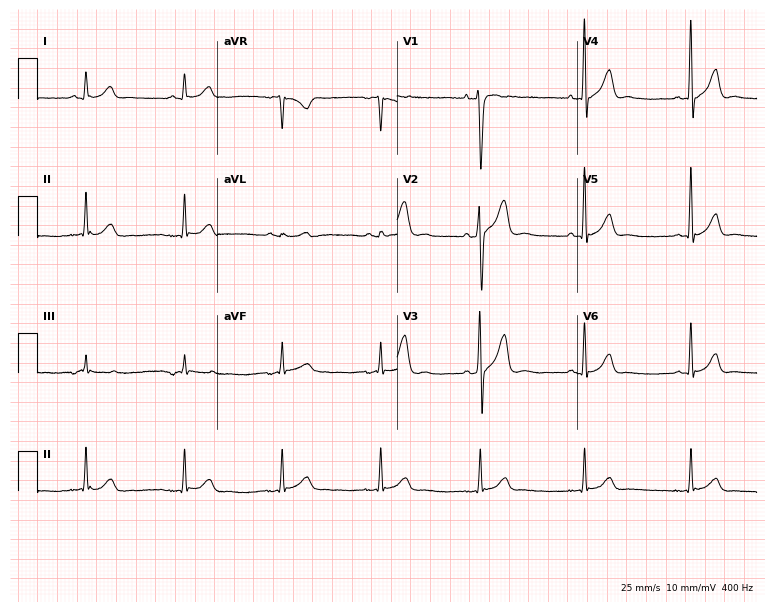
ECG — a man, 47 years old. Screened for six findings — first-degree AV block, right bundle branch block, left bundle branch block, sinus bradycardia, atrial fibrillation, sinus tachycardia — none is recorded. Other findings, if any, are not listed.